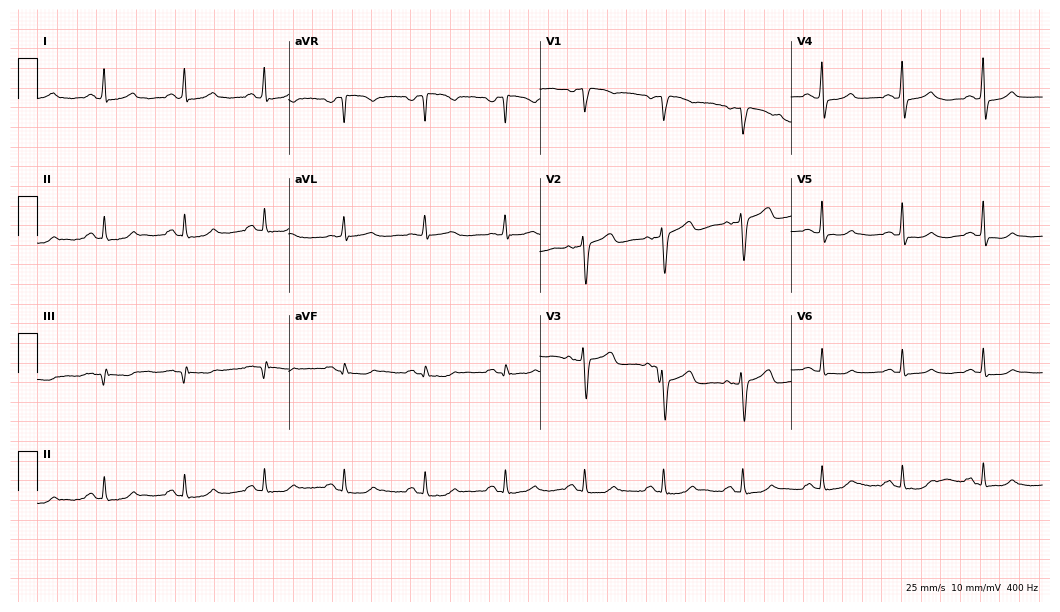
Electrocardiogram (10.2-second recording at 400 Hz), a 44-year-old female. Of the six screened findings (first-degree AV block, right bundle branch block, left bundle branch block, sinus bradycardia, atrial fibrillation, sinus tachycardia), none is recorded. Only these six findings were labelled.